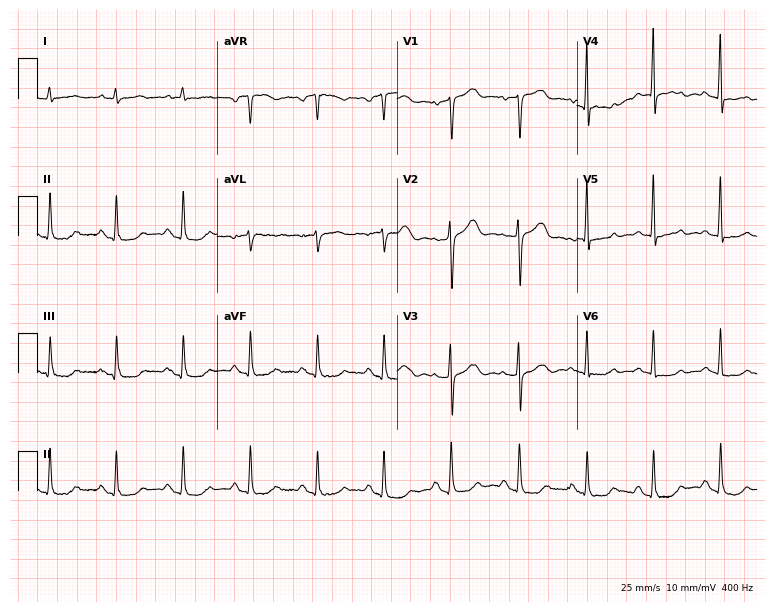
ECG (7.3-second recording at 400 Hz) — a 75-year-old woman. Screened for six findings — first-degree AV block, right bundle branch block, left bundle branch block, sinus bradycardia, atrial fibrillation, sinus tachycardia — none is recorded.